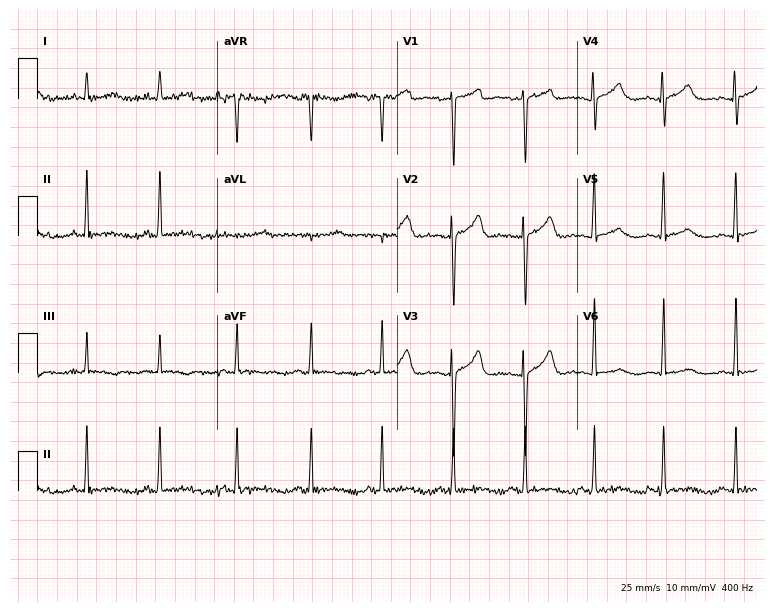
ECG (7.3-second recording at 400 Hz) — a 41-year-old female patient. Labelled as a normal ECG.